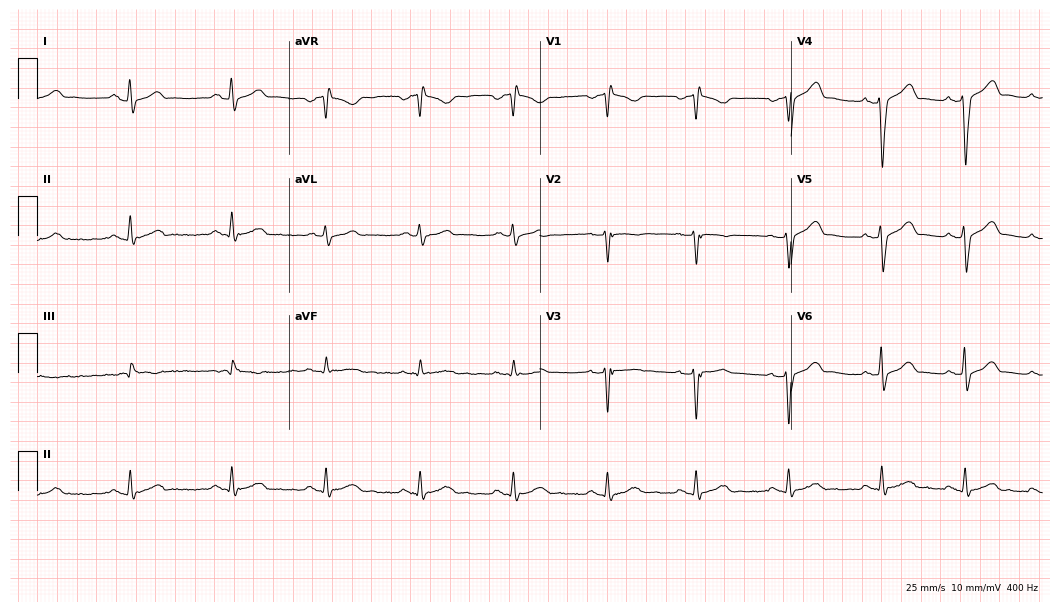
Resting 12-lead electrocardiogram (10.2-second recording at 400 Hz). Patient: a male, 36 years old. None of these six findings is recorded: first-degree AV block, right bundle branch block, left bundle branch block, sinus bradycardia, atrial fibrillation, sinus tachycardia. Only these six findings were labelled.